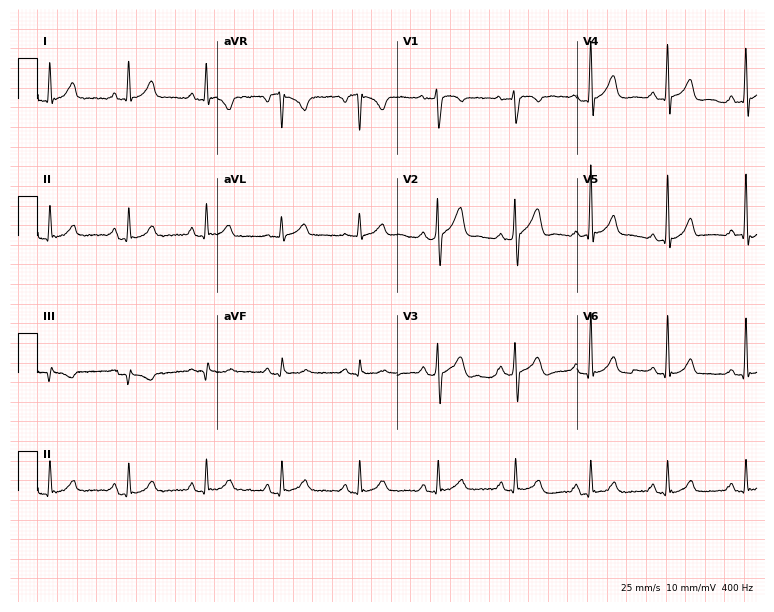
Standard 12-lead ECG recorded from a 40-year-old male (7.3-second recording at 400 Hz). Read as a normal ECG.